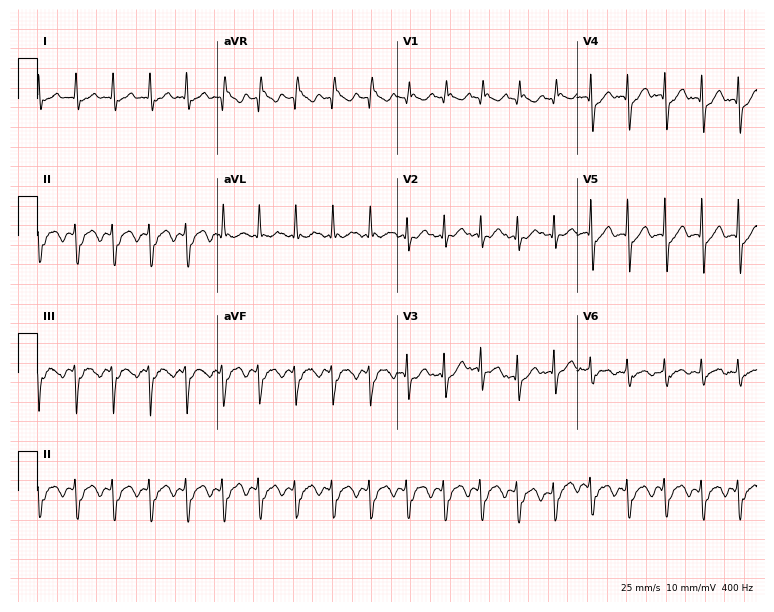
Standard 12-lead ECG recorded from a male patient, 74 years old (7.3-second recording at 400 Hz). None of these six findings is recorded: first-degree AV block, right bundle branch block, left bundle branch block, sinus bradycardia, atrial fibrillation, sinus tachycardia. Other findings, if any, are not listed.